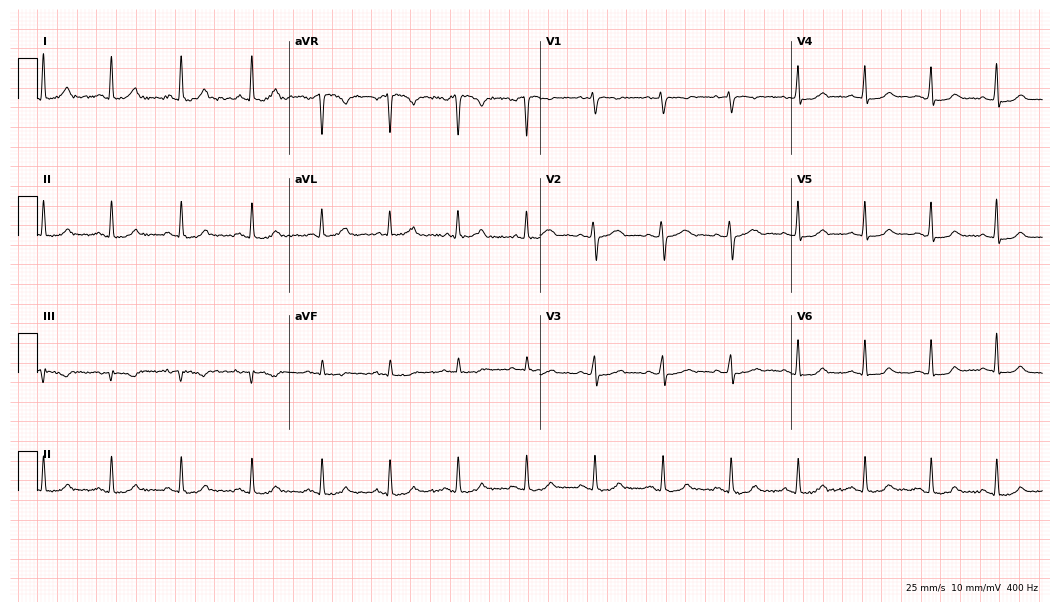
12-lead ECG from a woman, 56 years old (10.2-second recording at 400 Hz). No first-degree AV block, right bundle branch block, left bundle branch block, sinus bradycardia, atrial fibrillation or sinus tachycardia recorded for this tracing. Other findings, if any, are not listed.